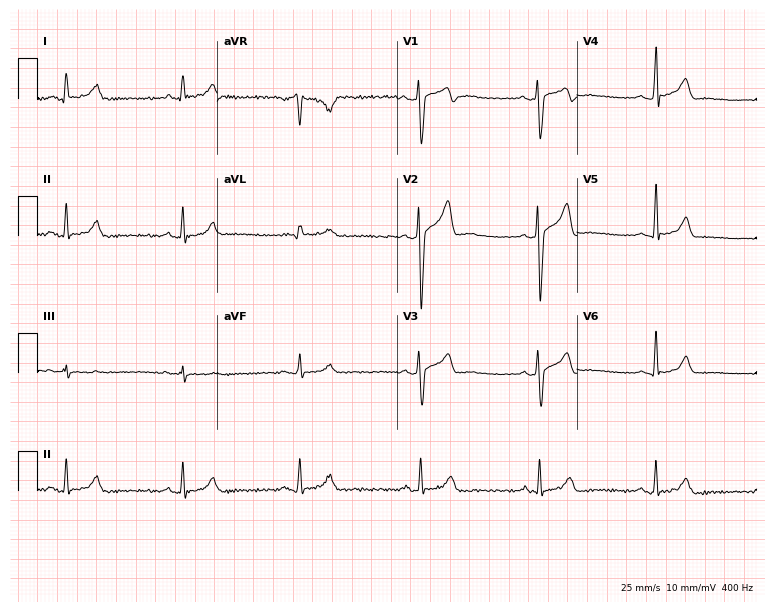
12-lead ECG (7.3-second recording at 400 Hz) from a 22-year-old male. Screened for six findings — first-degree AV block, right bundle branch block (RBBB), left bundle branch block (LBBB), sinus bradycardia, atrial fibrillation (AF), sinus tachycardia — none is recorded. Only these six findings were labelled.